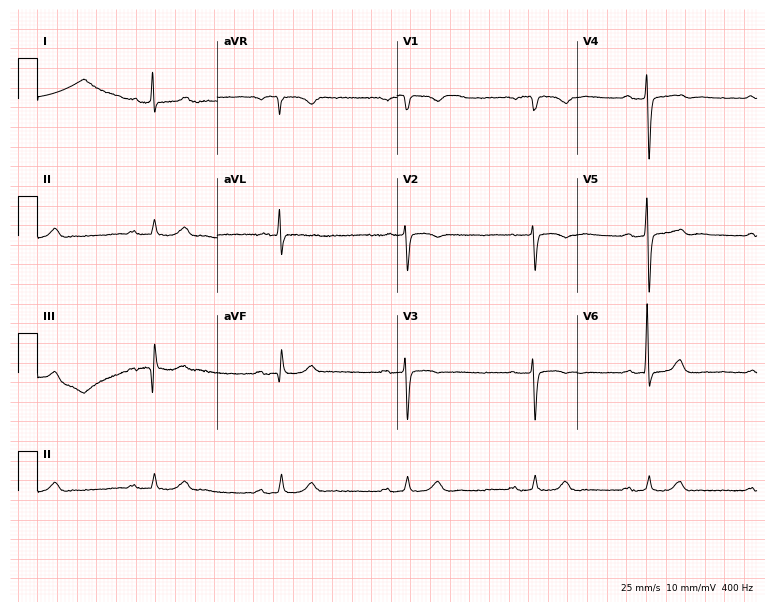
Resting 12-lead electrocardiogram. Patient: a 74-year-old man. None of these six findings is recorded: first-degree AV block, right bundle branch block, left bundle branch block, sinus bradycardia, atrial fibrillation, sinus tachycardia.